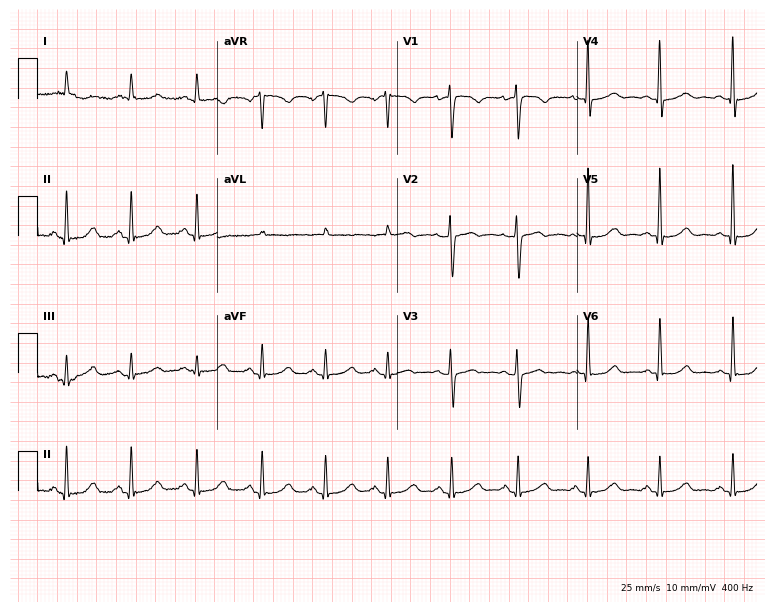
Resting 12-lead electrocardiogram (7.3-second recording at 400 Hz). Patient: a woman, 67 years old. Read as a normal ECG.